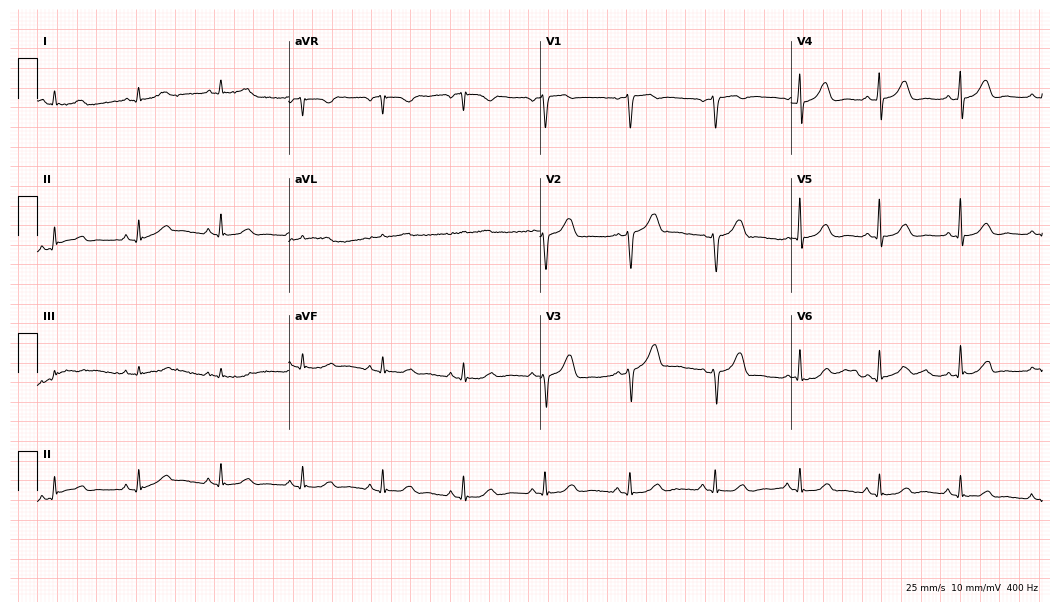
ECG — a 56-year-old female. Screened for six findings — first-degree AV block, right bundle branch block, left bundle branch block, sinus bradycardia, atrial fibrillation, sinus tachycardia — none is recorded. Other findings, if any, are not listed.